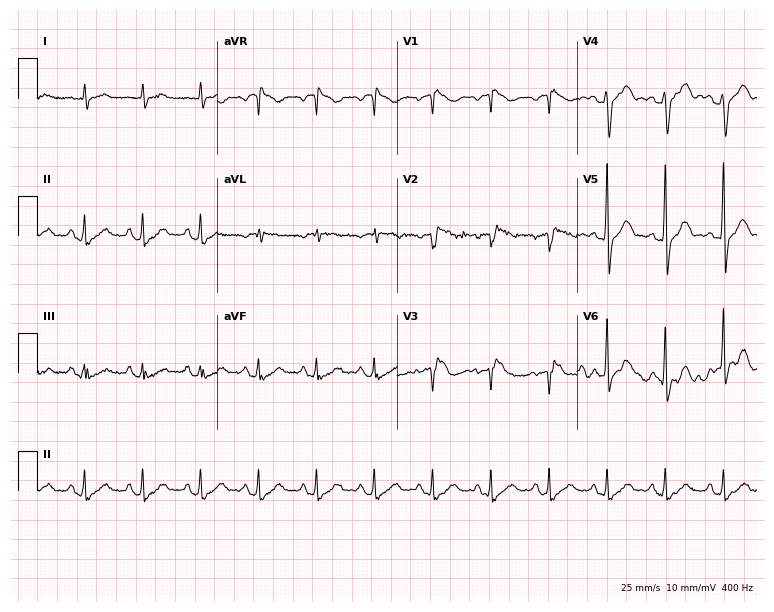
Electrocardiogram, a male, 85 years old. Of the six screened findings (first-degree AV block, right bundle branch block, left bundle branch block, sinus bradycardia, atrial fibrillation, sinus tachycardia), none is recorded. Other findings, if any, are not listed.